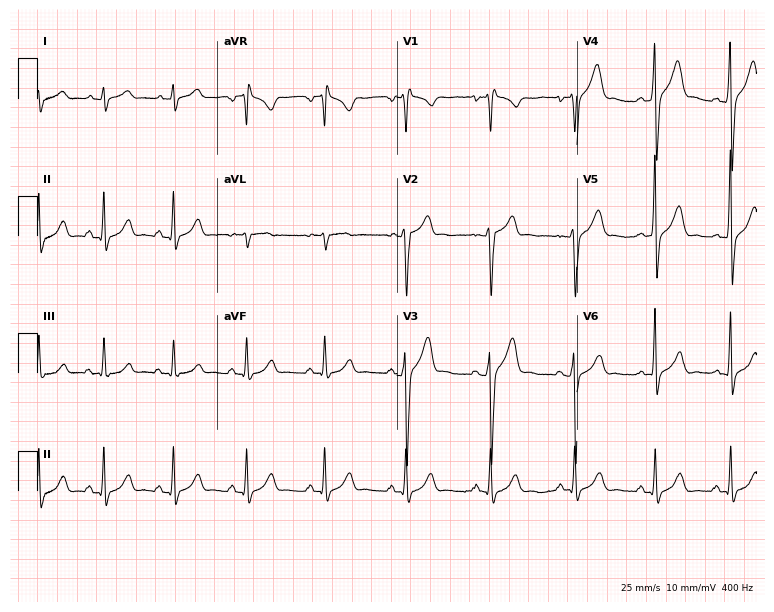
Resting 12-lead electrocardiogram. Patient: a man, 17 years old. None of these six findings is recorded: first-degree AV block, right bundle branch block (RBBB), left bundle branch block (LBBB), sinus bradycardia, atrial fibrillation (AF), sinus tachycardia. Other findings, if any, are not listed.